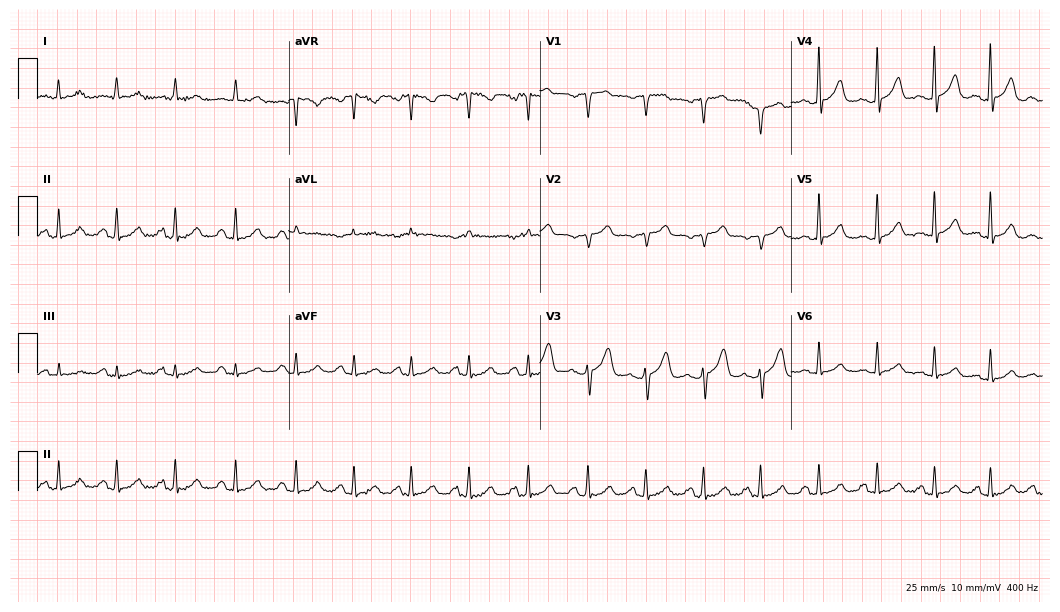
12-lead ECG (10.2-second recording at 400 Hz) from a female patient, 61 years old. Screened for six findings — first-degree AV block, right bundle branch block, left bundle branch block, sinus bradycardia, atrial fibrillation, sinus tachycardia — none is recorded. Findings outside these six are not listed.